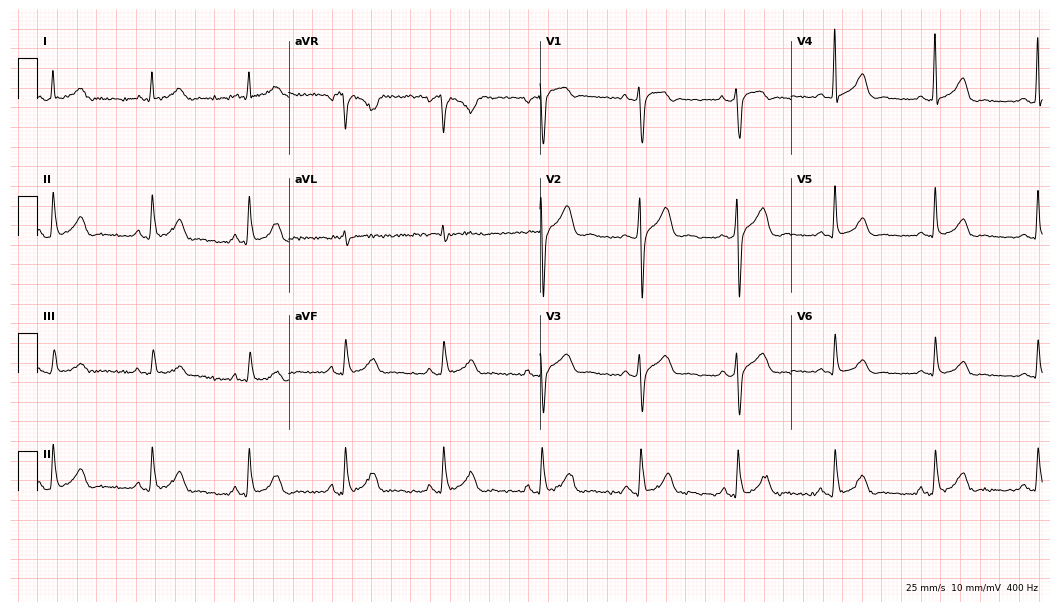
Standard 12-lead ECG recorded from a 73-year-old man. Read as a normal ECG.